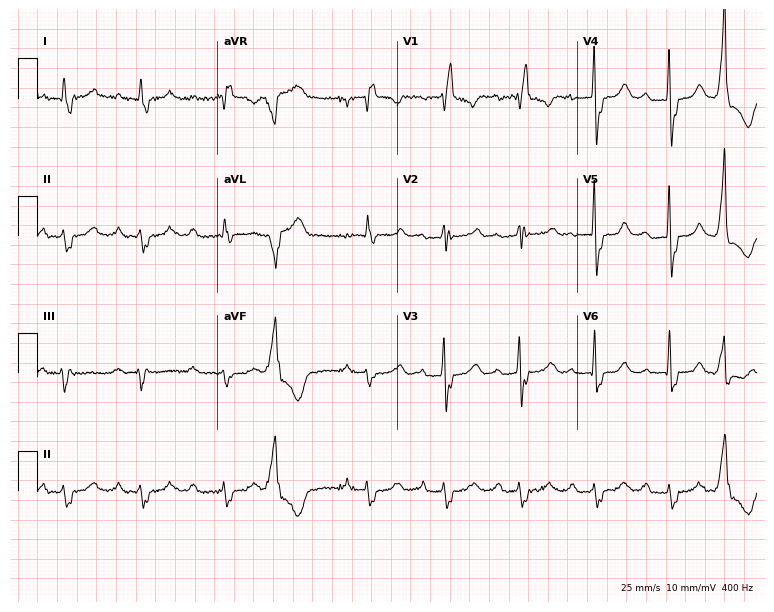
12-lead ECG from a female patient, 70 years old. Findings include first-degree AV block, right bundle branch block.